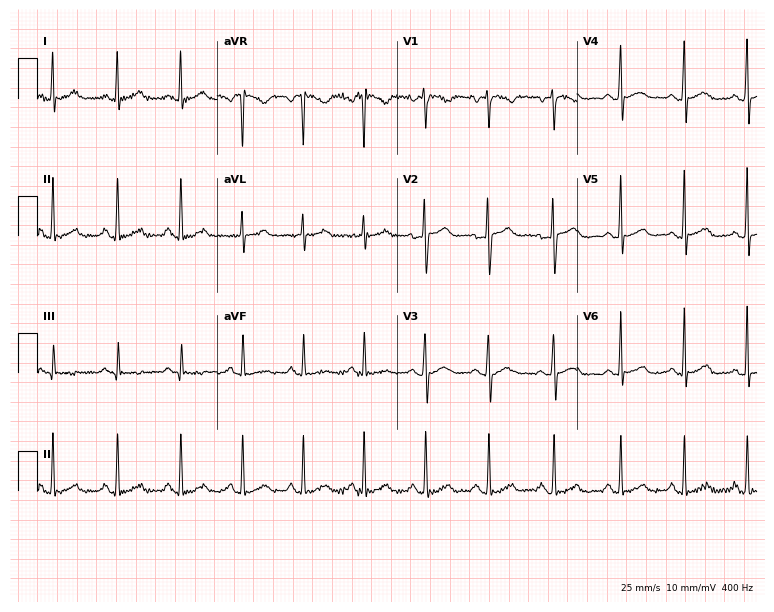
Electrocardiogram (7.3-second recording at 400 Hz), a 27-year-old woman. Of the six screened findings (first-degree AV block, right bundle branch block, left bundle branch block, sinus bradycardia, atrial fibrillation, sinus tachycardia), none is recorded. Only these six findings were labelled.